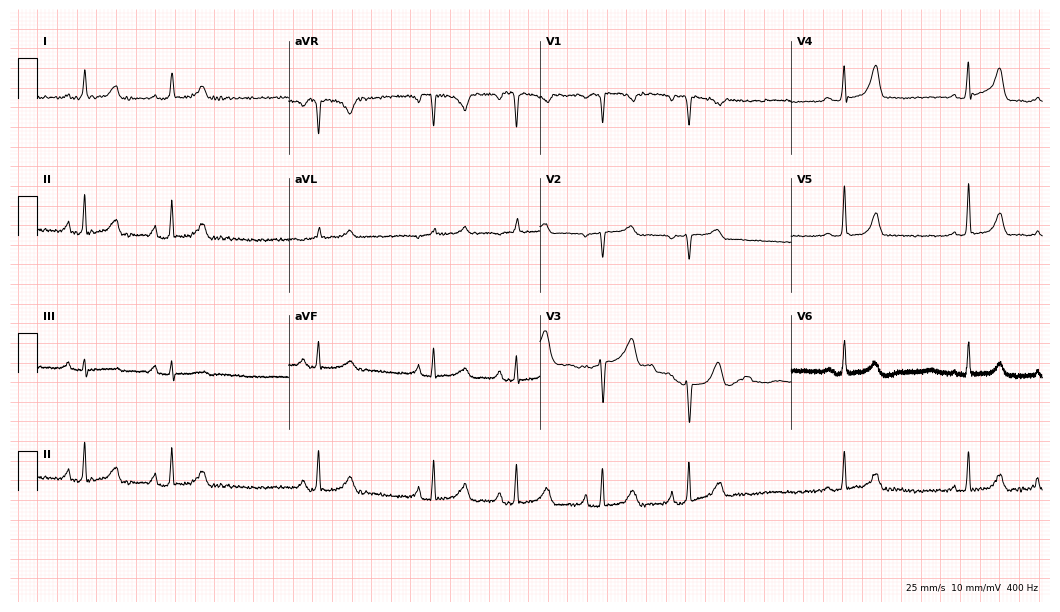
12-lead ECG from a woman, 47 years old. No first-degree AV block, right bundle branch block (RBBB), left bundle branch block (LBBB), sinus bradycardia, atrial fibrillation (AF) or sinus tachycardia recorded for this tracing. Other findings, if any, are not listed.